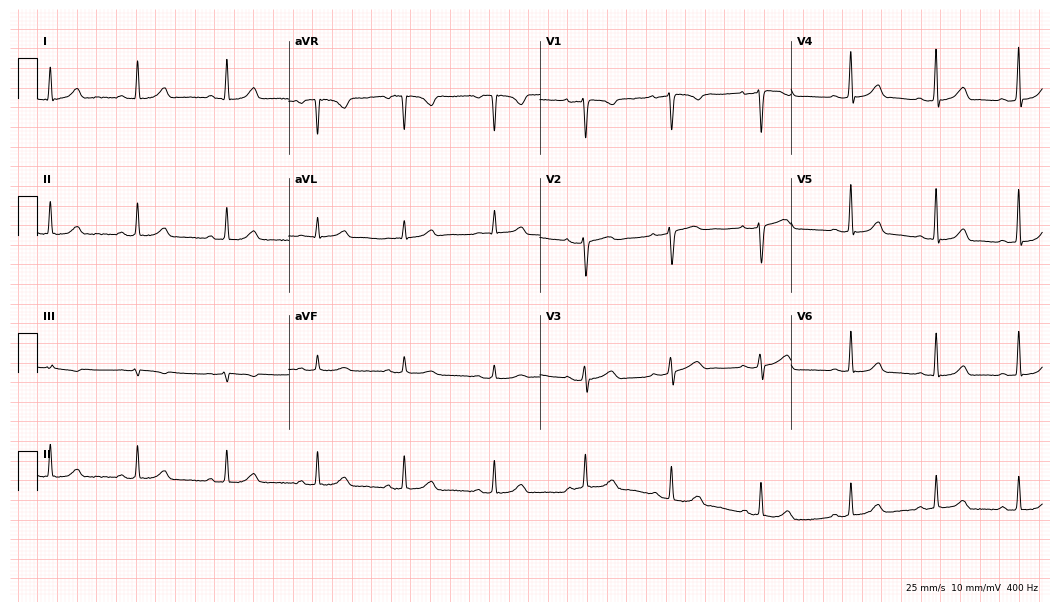
Resting 12-lead electrocardiogram. Patient: a 37-year-old female. Read as a normal ECG.